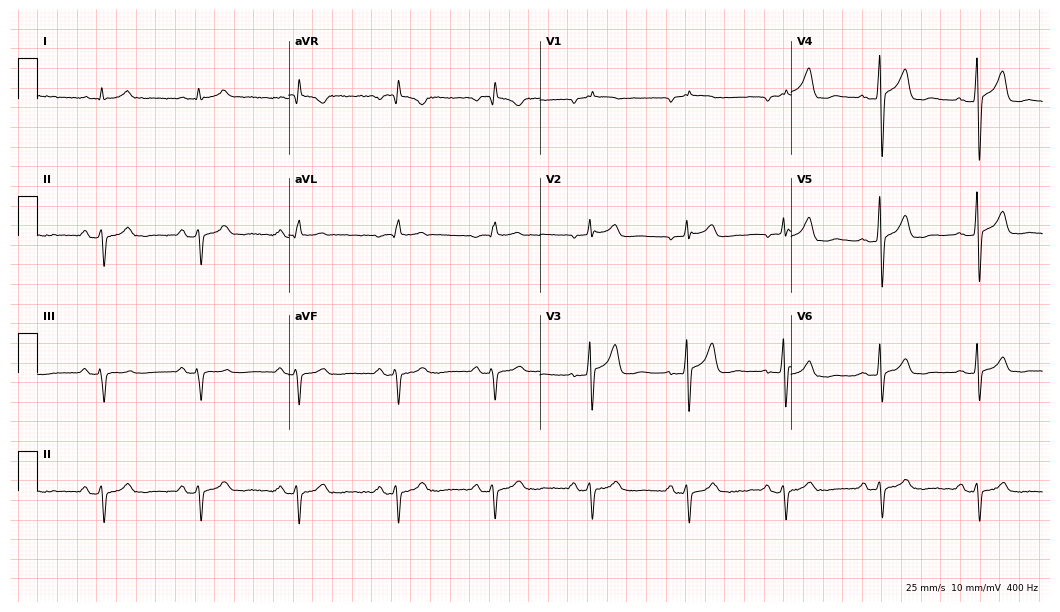
Standard 12-lead ECG recorded from a 64-year-old male. None of these six findings is recorded: first-degree AV block, right bundle branch block, left bundle branch block, sinus bradycardia, atrial fibrillation, sinus tachycardia.